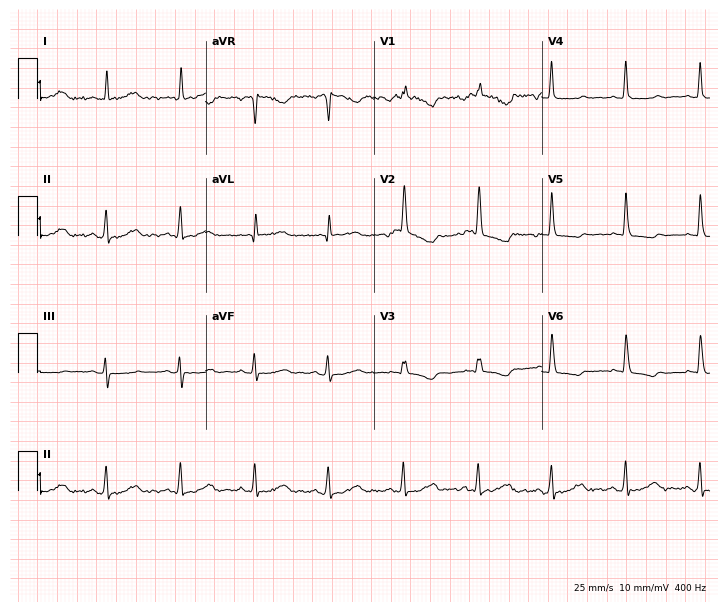
ECG — a 67-year-old woman. Screened for six findings — first-degree AV block, right bundle branch block, left bundle branch block, sinus bradycardia, atrial fibrillation, sinus tachycardia — none is recorded. Other findings, if any, are not listed.